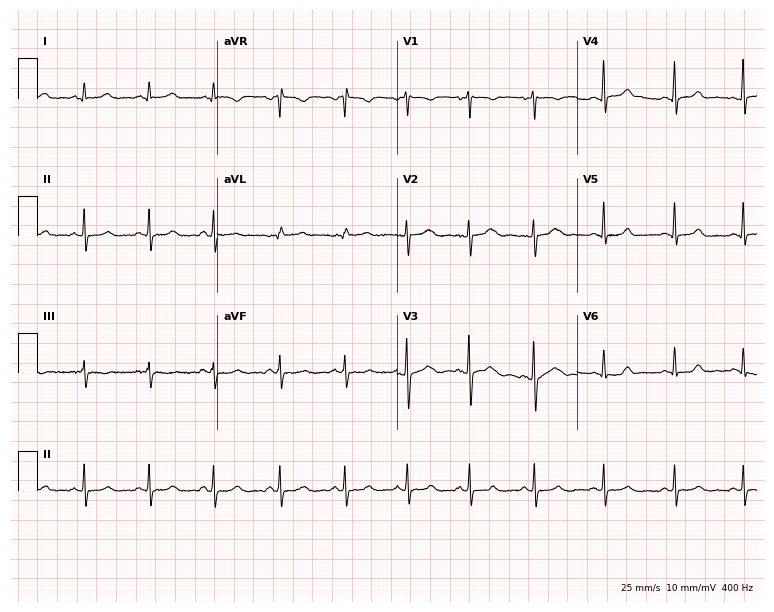
12-lead ECG from a 35-year-old woman (7.3-second recording at 400 Hz). Recorded interpretation: within normal limits.